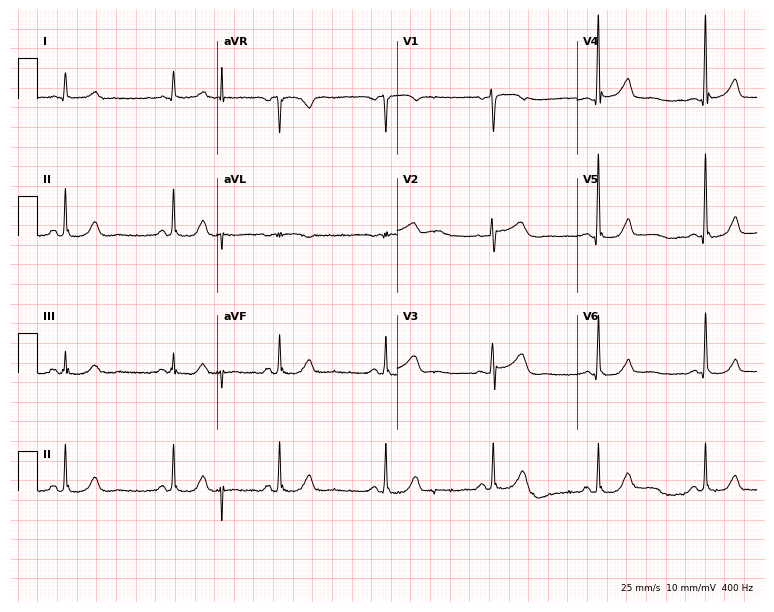
12-lead ECG from a female patient, 40 years old (7.3-second recording at 400 Hz). Recorded interpretation: within normal limits.